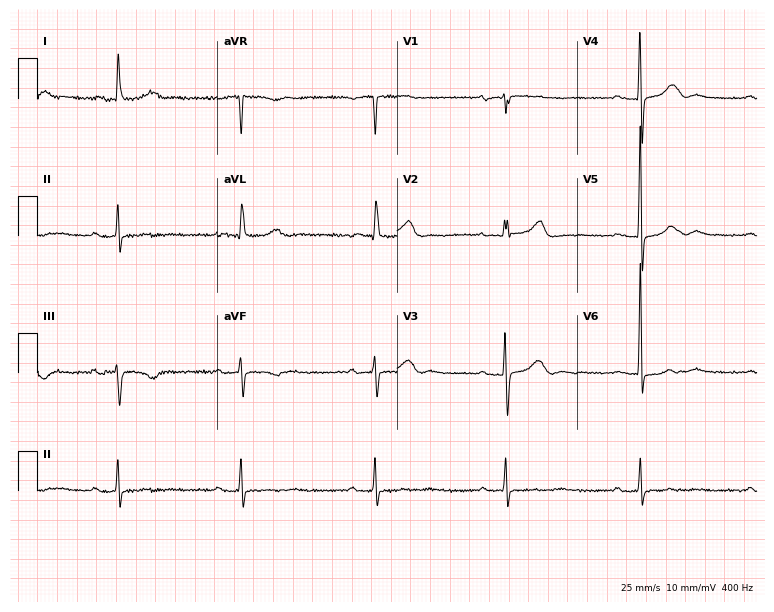
12-lead ECG from a female, 85 years old. Findings include first-degree AV block, sinus bradycardia (a sinus rate of 50 beats per minute or less).